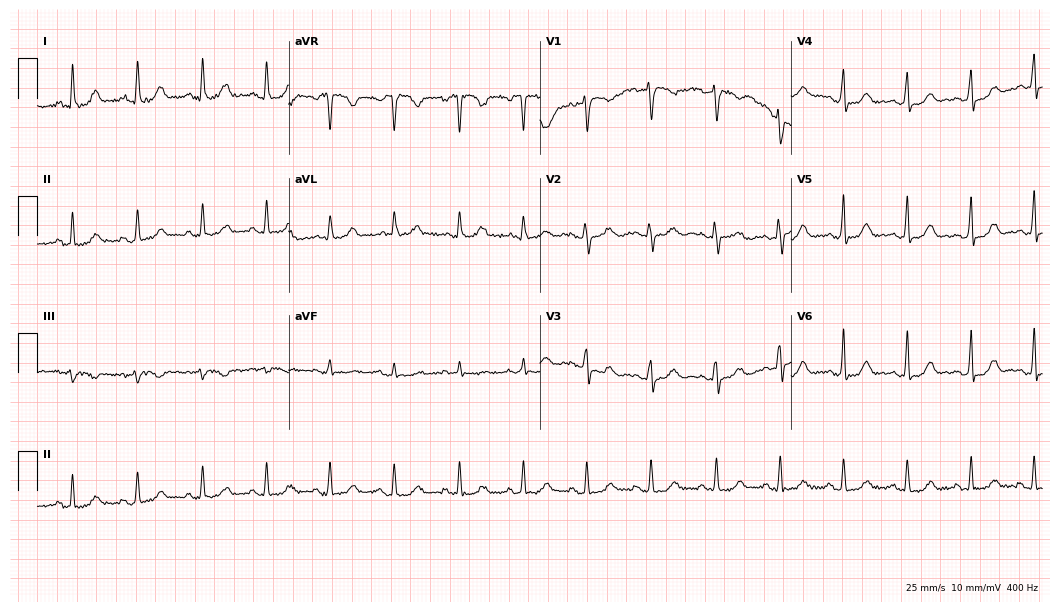
12-lead ECG from a female patient, 47 years old. Recorded interpretation: within normal limits.